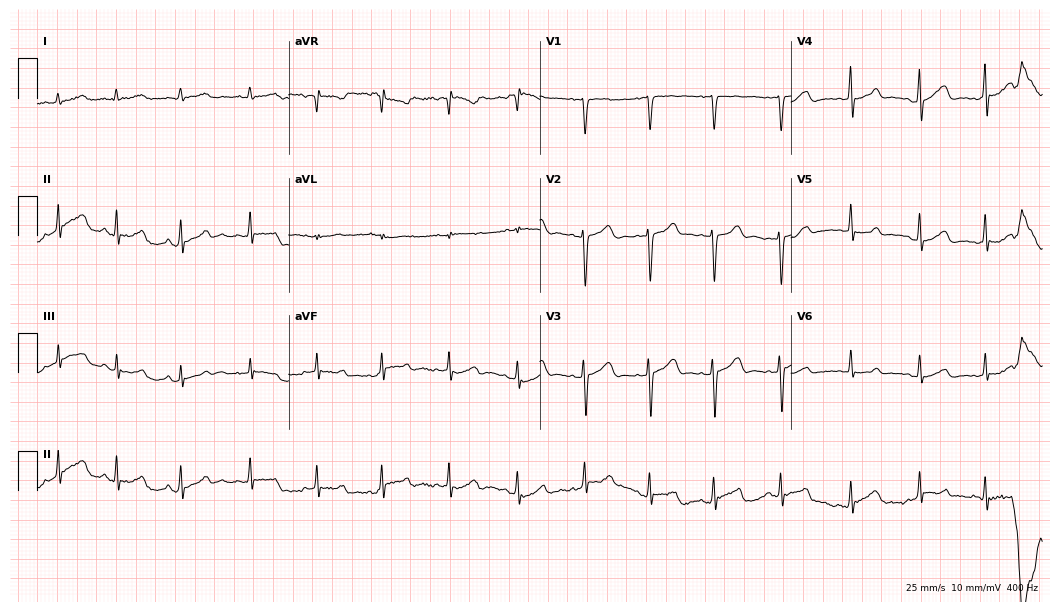
Standard 12-lead ECG recorded from an 18-year-old woman (10.2-second recording at 400 Hz). Read as a normal ECG.